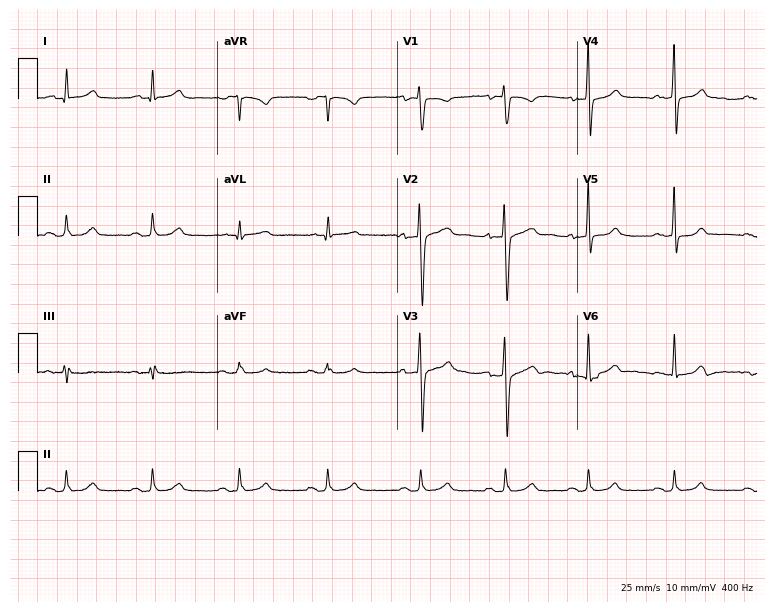
Electrocardiogram (7.3-second recording at 400 Hz), a male, 39 years old. Overall reading on record: normal ECG.